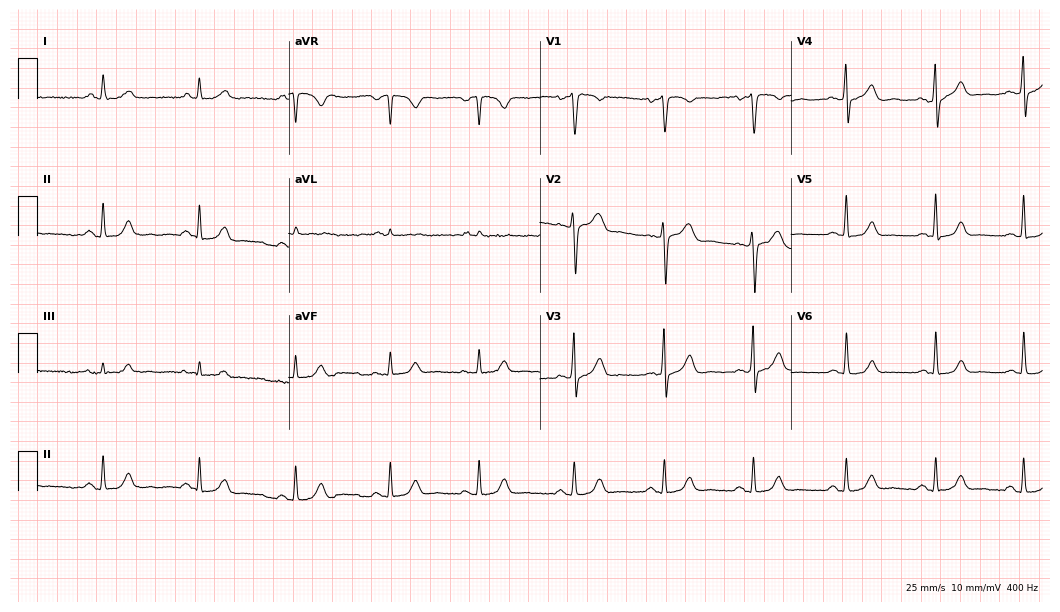
ECG — a 31-year-old male. Labelled as a normal ECG.